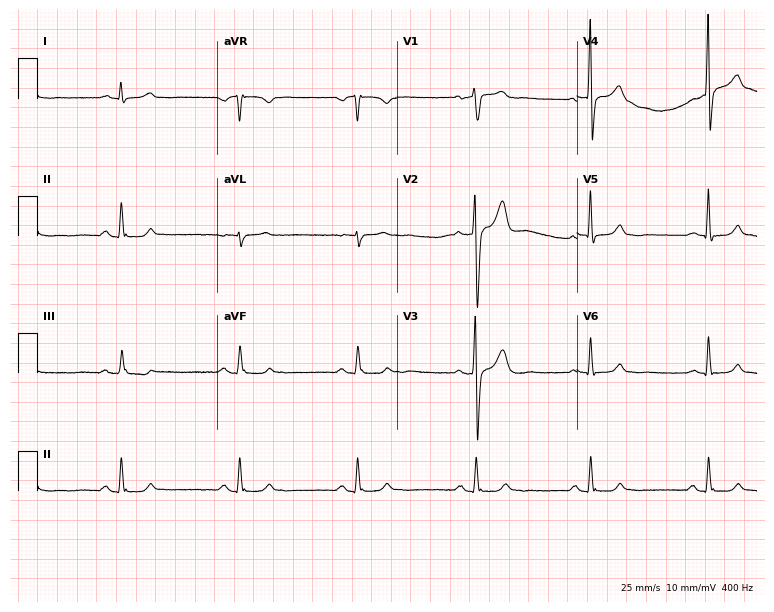
Standard 12-lead ECG recorded from a 65-year-old male (7.3-second recording at 400 Hz). None of these six findings is recorded: first-degree AV block, right bundle branch block (RBBB), left bundle branch block (LBBB), sinus bradycardia, atrial fibrillation (AF), sinus tachycardia. Other findings, if any, are not listed.